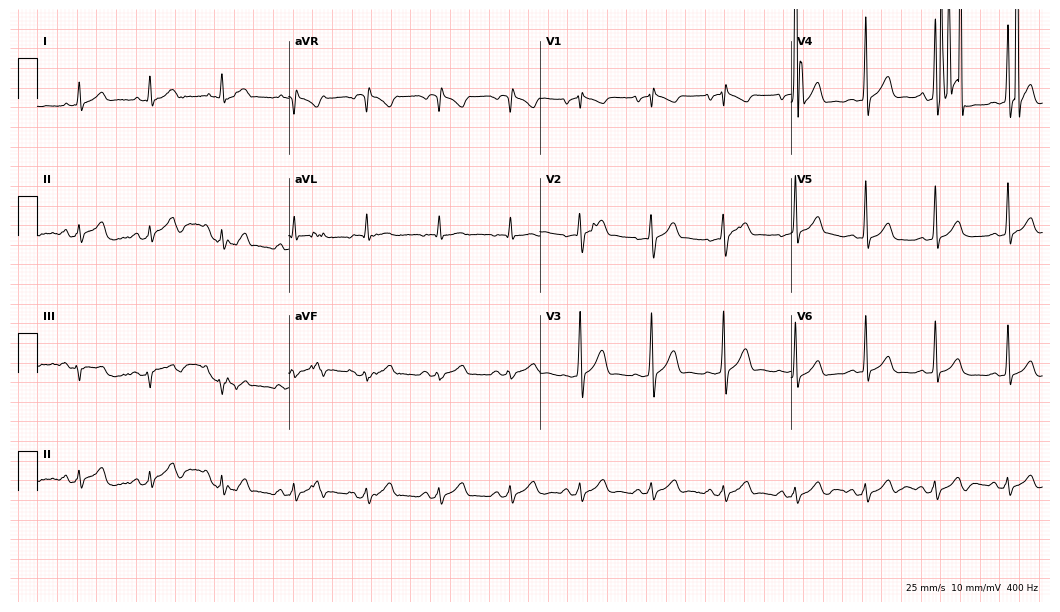
Electrocardiogram, a male, 51 years old. Of the six screened findings (first-degree AV block, right bundle branch block, left bundle branch block, sinus bradycardia, atrial fibrillation, sinus tachycardia), none is recorded.